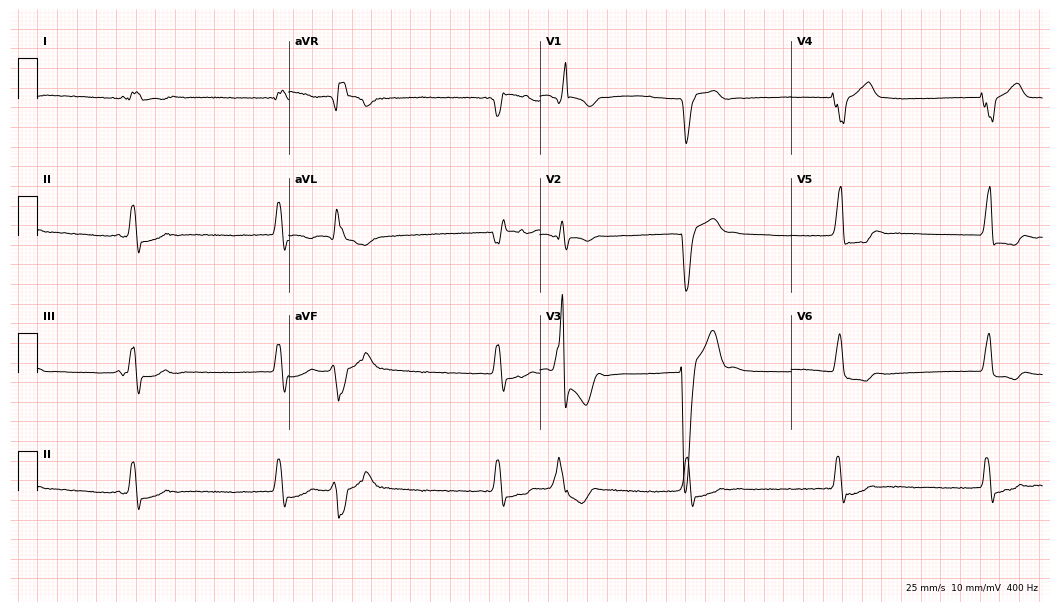
Resting 12-lead electrocardiogram (10.2-second recording at 400 Hz). Patient: a female, 77 years old. The tracing shows left bundle branch block (LBBB), atrial fibrillation (AF).